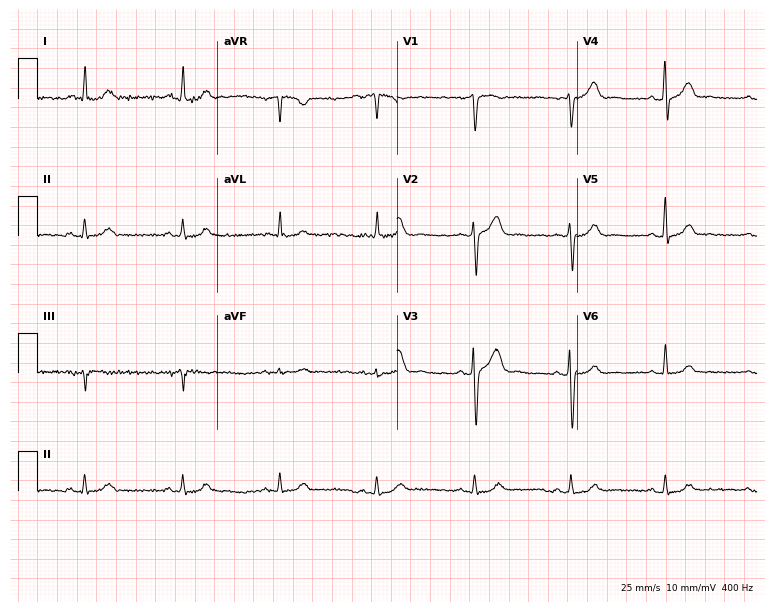
12-lead ECG (7.3-second recording at 400 Hz) from a male, 53 years old. Labelled as a normal ECG.